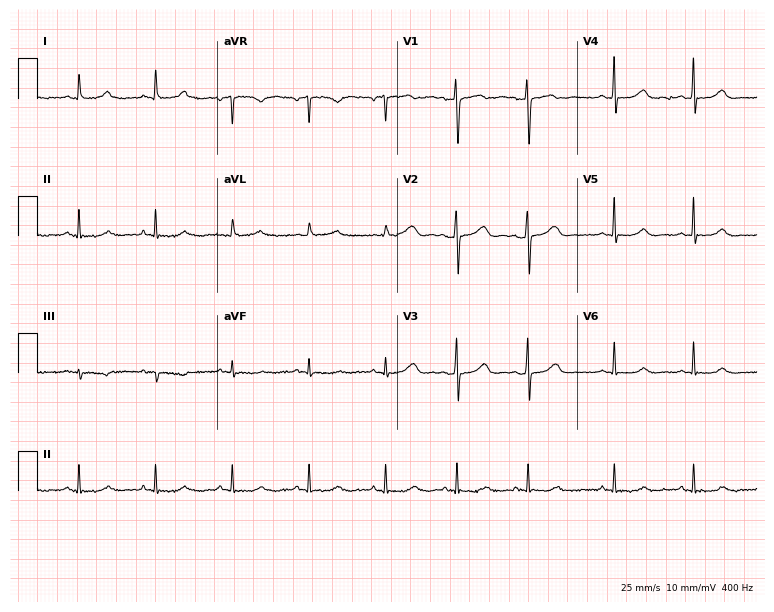
ECG — a 64-year-old female. Labelled as a normal ECG.